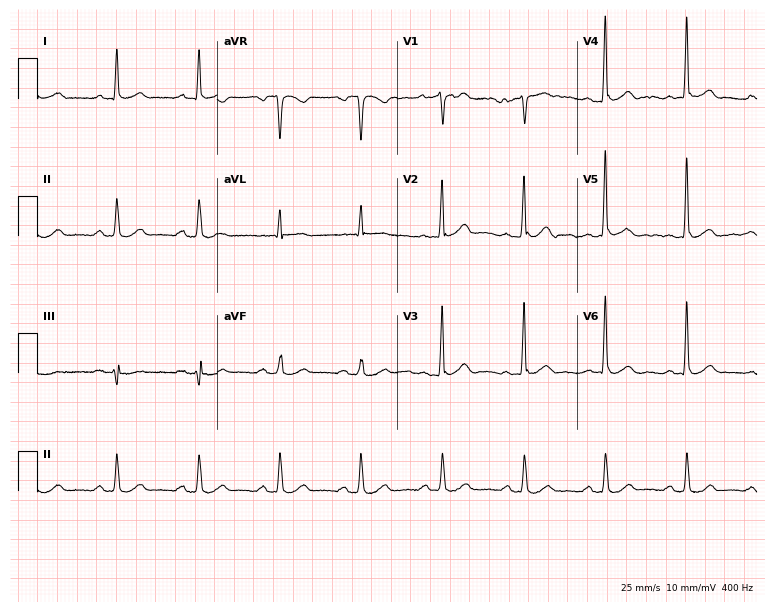
Resting 12-lead electrocardiogram (7.3-second recording at 400 Hz). Patient: a 74-year-old male. Read as a normal ECG.